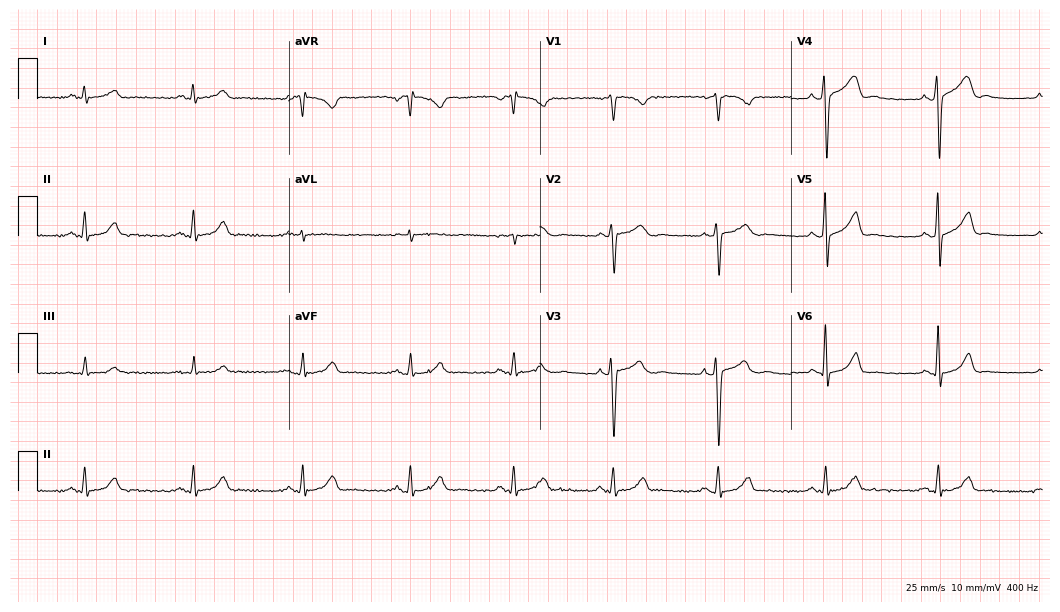
ECG — a male patient, 38 years old. Labelled as a normal ECG.